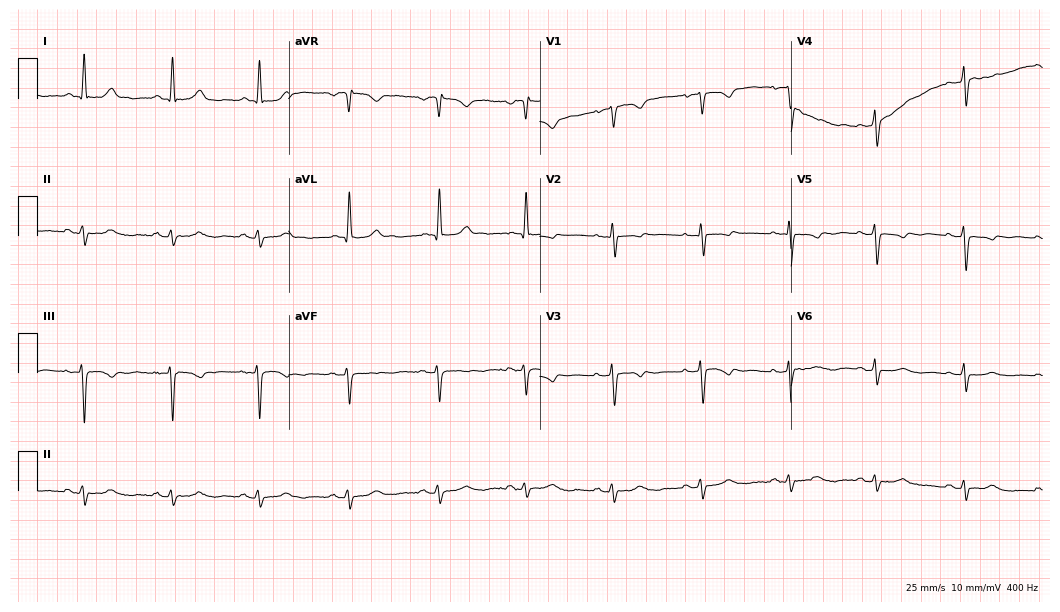
Electrocardiogram (10.2-second recording at 400 Hz), an 82-year-old woman. Of the six screened findings (first-degree AV block, right bundle branch block, left bundle branch block, sinus bradycardia, atrial fibrillation, sinus tachycardia), none is recorded.